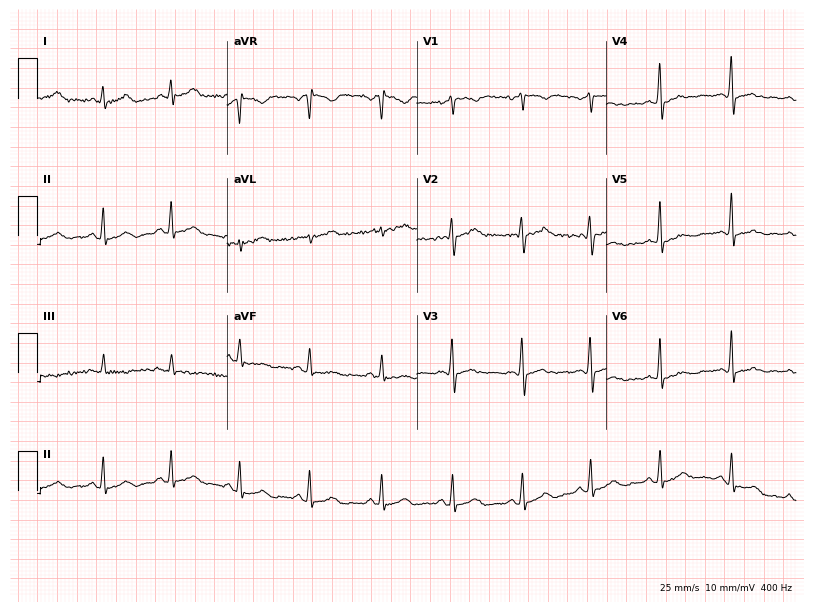
Electrocardiogram (7.7-second recording at 400 Hz), a woman, 37 years old. Of the six screened findings (first-degree AV block, right bundle branch block (RBBB), left bundle branch block (LBBB), sinus bradycardia, atrial fibrillation (AF), sinus tachycardia), none is recorded.